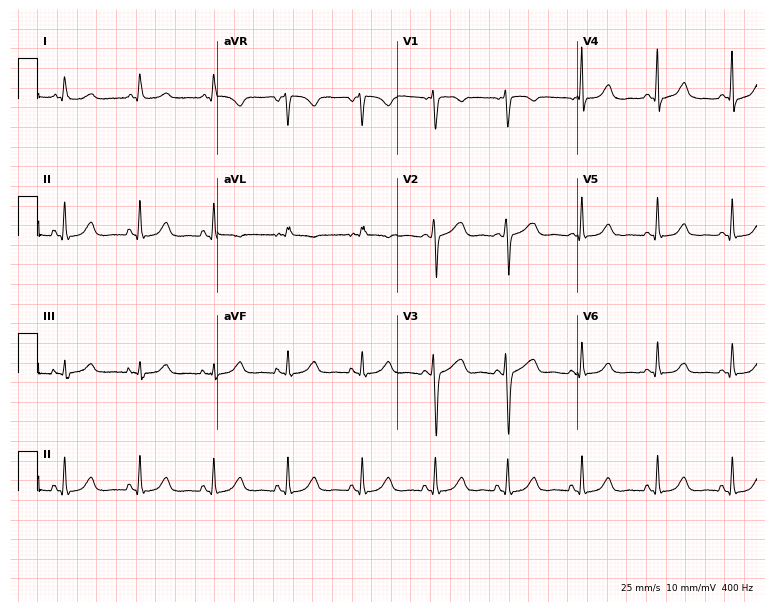
Standard 12-lead ECG recorded from a 54-year-old female patient. None of these six findings is recorded: first-degree AV block, right bundle branch block (RBBB), left bundle branch block (LBBB), sinus bradycardia, atrial fibrillation (AF), sinus tachycardia.